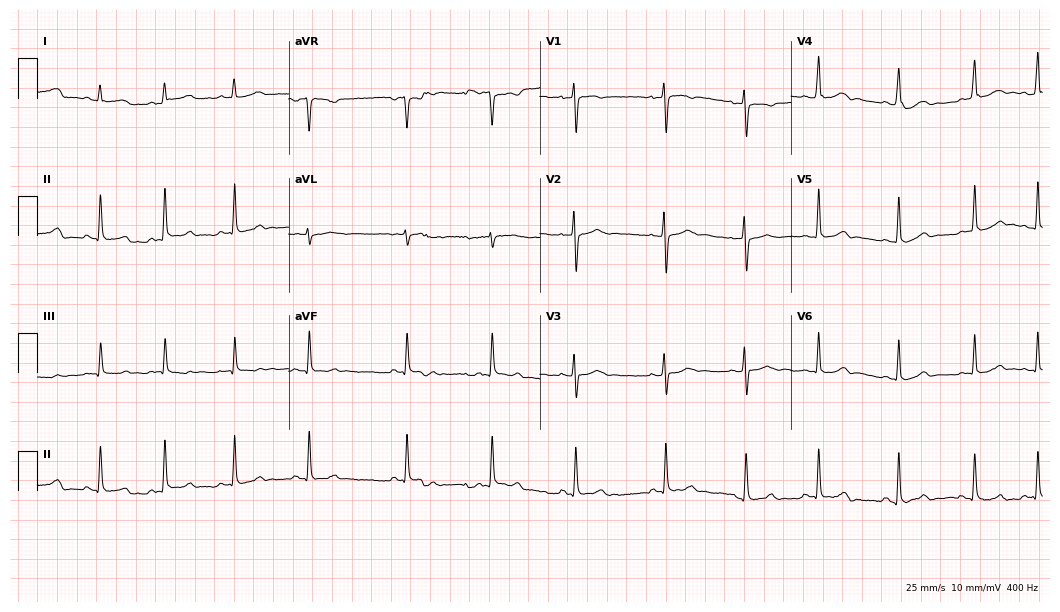
Electrocardiogram (10.2-second recording at 400 Hz), a female patient, 18 years old. Overall reading on record: normal ECG.